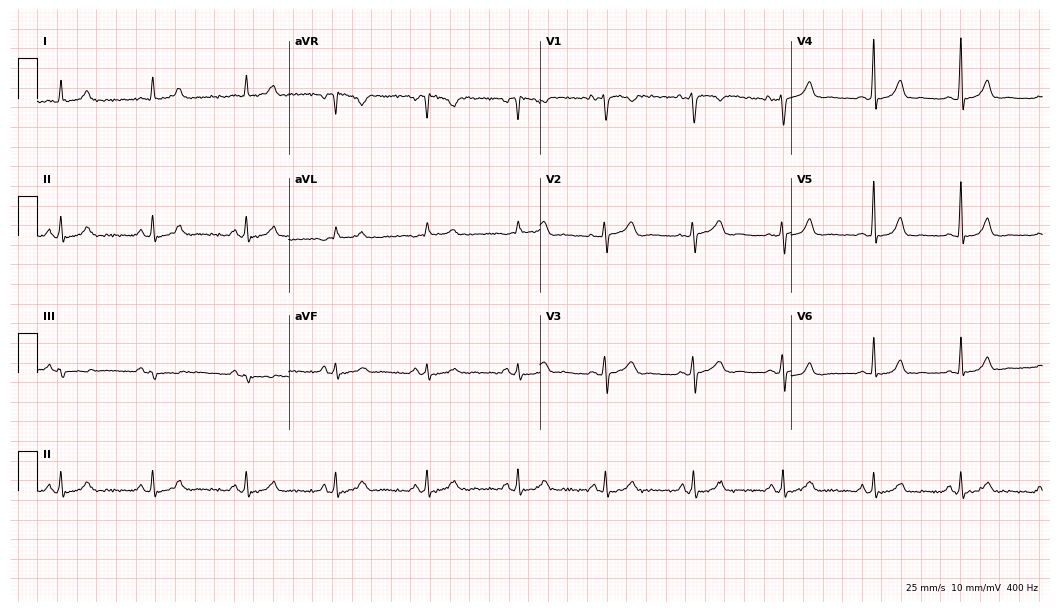
12-lead ECG from a 41-year-old woman (10.2-second recording at 400 Hz). Recorded interpretation: within normal limits.